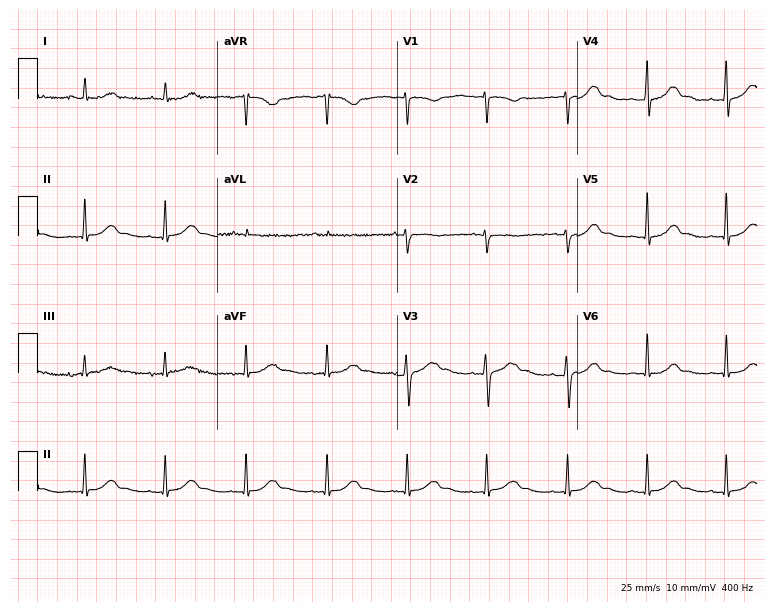
12-lead ECG from a woman, 56 years old (7.3-second recording at 400 Hz). No first-degree AV block, right bundle branch block, left bundle branch block, sinus bradycardia, atrial fibrillation or sinus tachycardia recorded for this tracing. Findings outside these six are not listed.